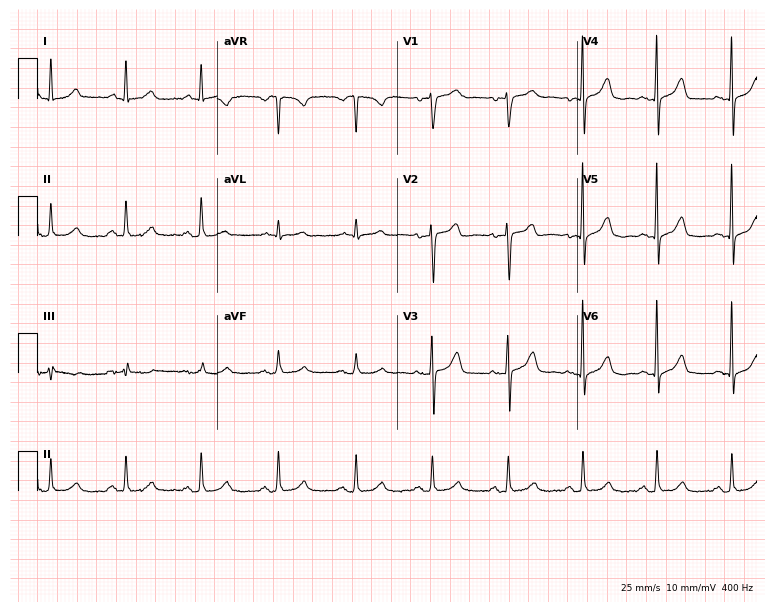
12-lead ECG from a female patient, 71 years old. No first-degree AV block, right bundle branch block (RBBB), left bundle branch block (LBBB), sinus bradycardia, atrial fibrillation (AF) or sinus tachycardia recorded for this tracing.